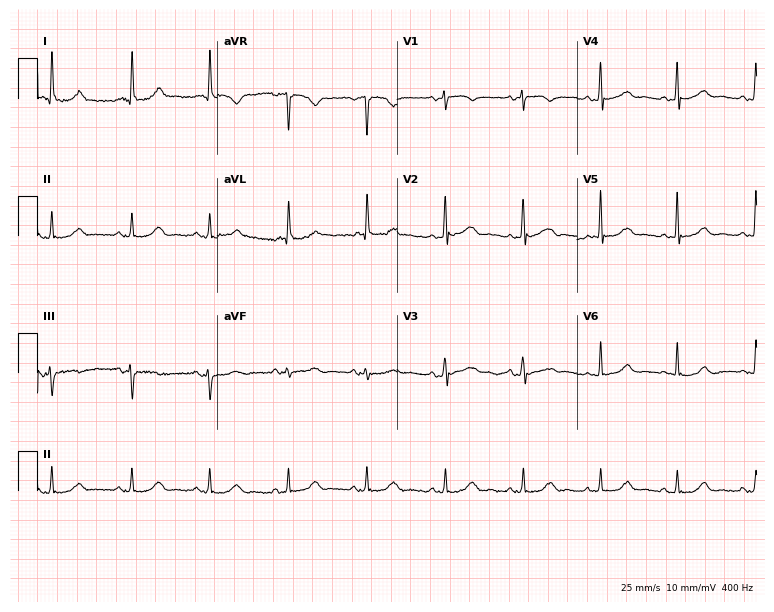
12-lead ECG (7.3-second recording at 400 Hz) from a 74-year-old male. Labelled as a normal ECG.